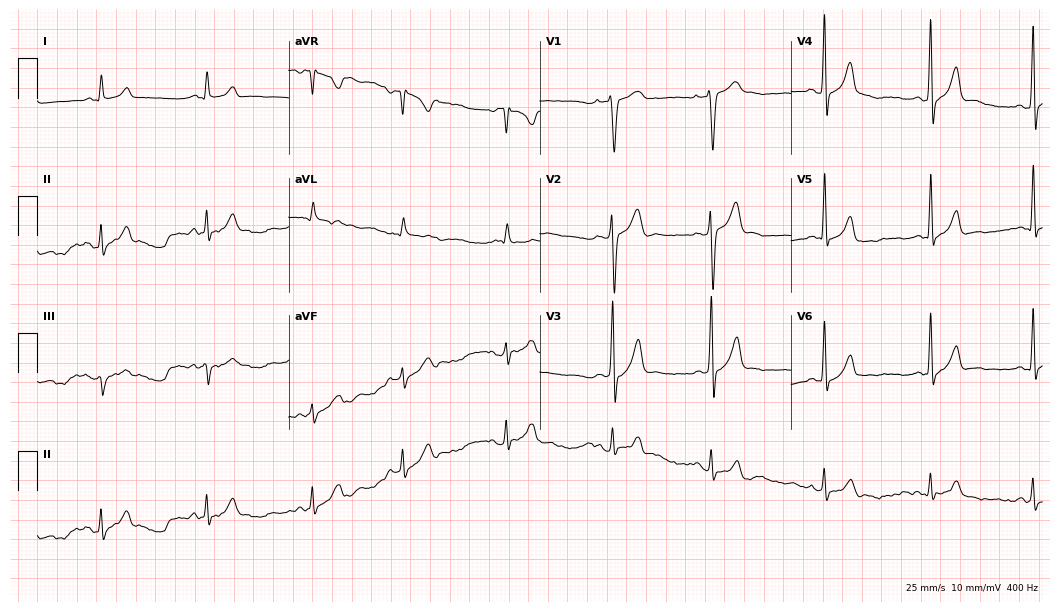
Resting 12-lead electrocardiogram. Patient: a man, 20 years old. None of these six findings is recorded: first-degree AV block, right bundle branch block (RBBB), left bundle branch block (LBBB), sinus bradycardia, atrial fibrillation (AF), sinus tachycardia. Findings outside these six are not listed.